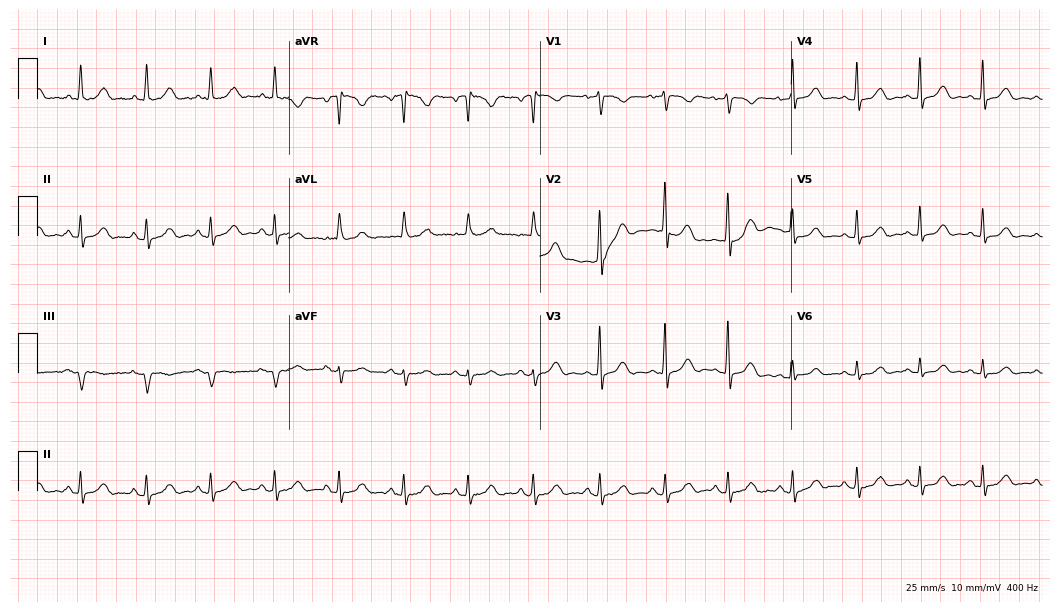
ECG (10.2-second recording at 400 Hz) — a 57-year-old female. Labelled as a normal ECG.